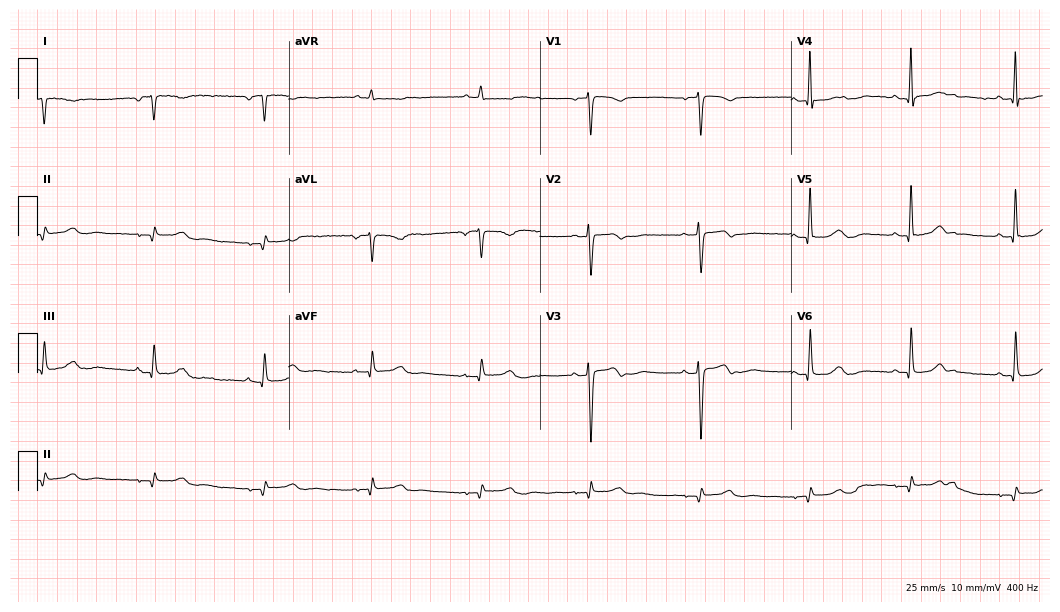
Electrocardiogram, a woman, 42 years old. Of the six screened findings (first-degree AV block, right bundle branch block, left bundle branch block, sinus bradycardia, atrial fibrillation, sinus tachycardia), none is recorded.